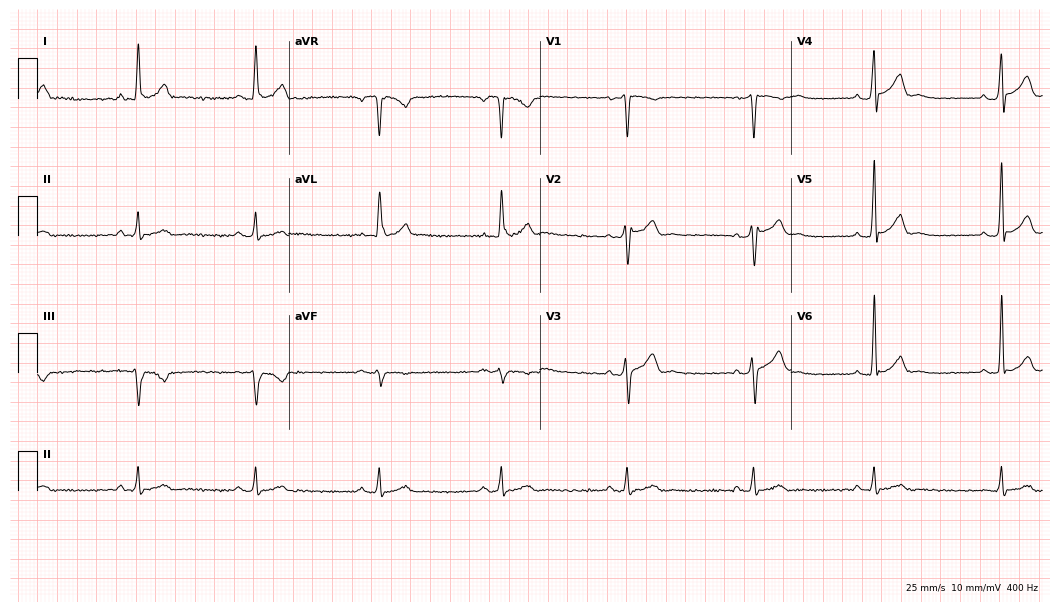
Resting 12-lead electrocardiogram (10.2-second recording at 400 Hz). Patient: a male, 30 years old. None of these six findings is recorded: first-degree AV block, right bundle branch block, left bundle branch block, sinus bradycardia, atrial fibrillation, sinus tachycardia.